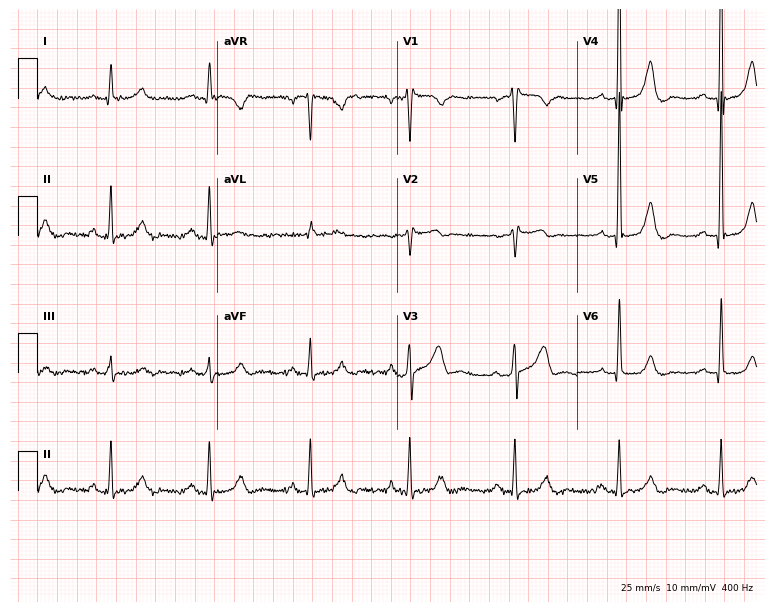
12-lead ECG from a female patient, 52 years old. No first-degree AV block, right bundle branch block (RBBB), left bundle branch block (LBBB), sinus bradycardia, atrial fibrillation (AF) or sinus tachycardia recorded for this tracing.